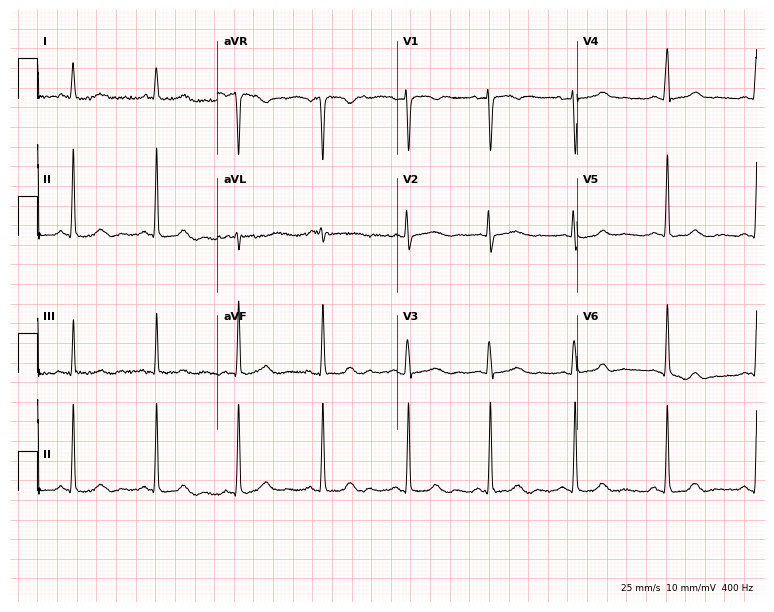
12-lead ECG from a female patient, 24 years old. Screened for six findings — first-degree AV block, right bundle branch block, left bundle branch block, sinus bradycardia, atrial fibrillation, sinus tachycardia — none is recorded. Findings outside these six are not listed.